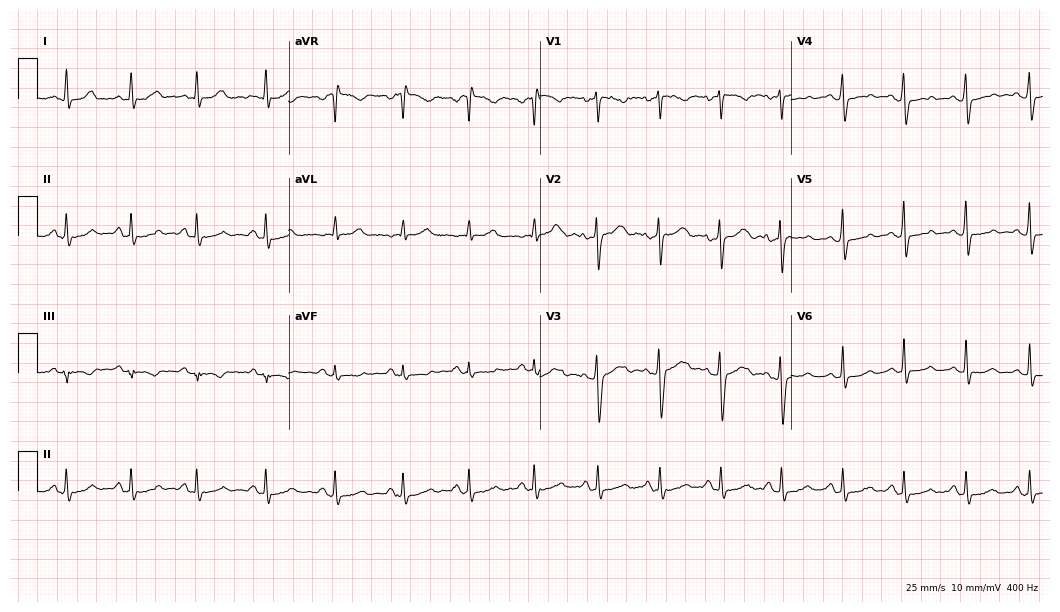
Standard 12-lead ECG recorded from a man, 38 years old (10.2-second recording at 400 Hz). None of these six findings is recorded: first-degree AV block, right bundle branch block (RBBB), left bundle branch block (LBBB), sinus bradycardia, atrial fibrillation (AF), sinus tachycardia.